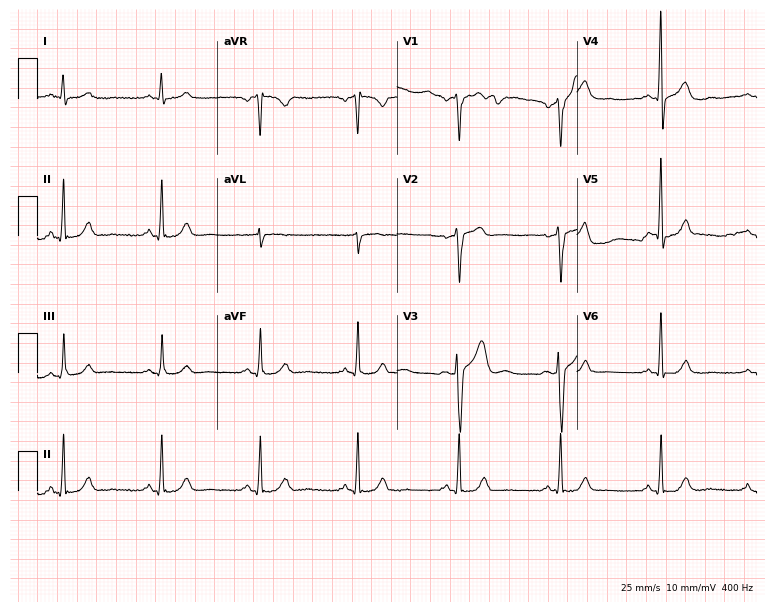
12-lead ECG from a male, 67 years old. Screened for six findings — first-degree AV block, right bundle branch block (RBBB), left bundle branch block (LBBB), sinus bradycardia, atrial fibrillation (AF), sinus tachycardia — none is recorded. Only these six findings were labelled.